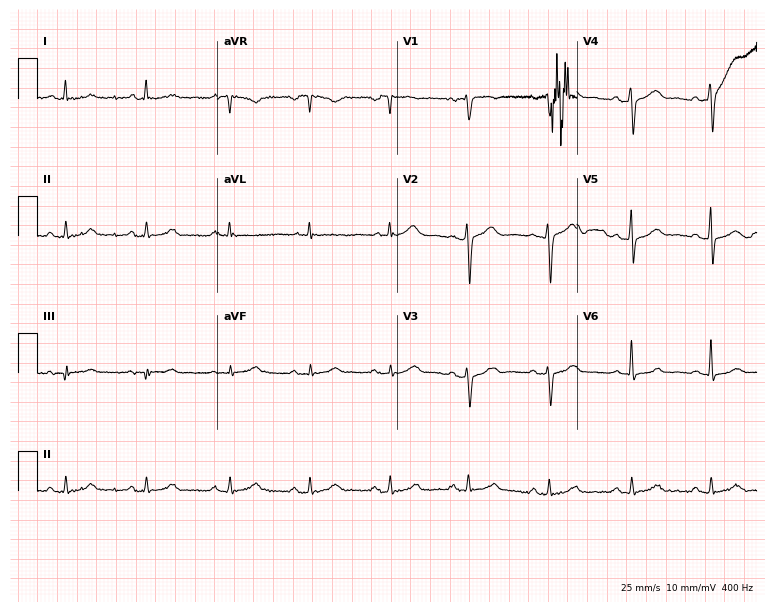
Electrocardiogram (7.3-second recording at 400 Hz), a 34-year-old female. Of the six screened findings (first-degree AV block, right bundle branch block (RBBB), left bundle branch block (LBBB), sinus bradycardia, atrial fibrillation (AF), sinus tachycardia), none is recorded.